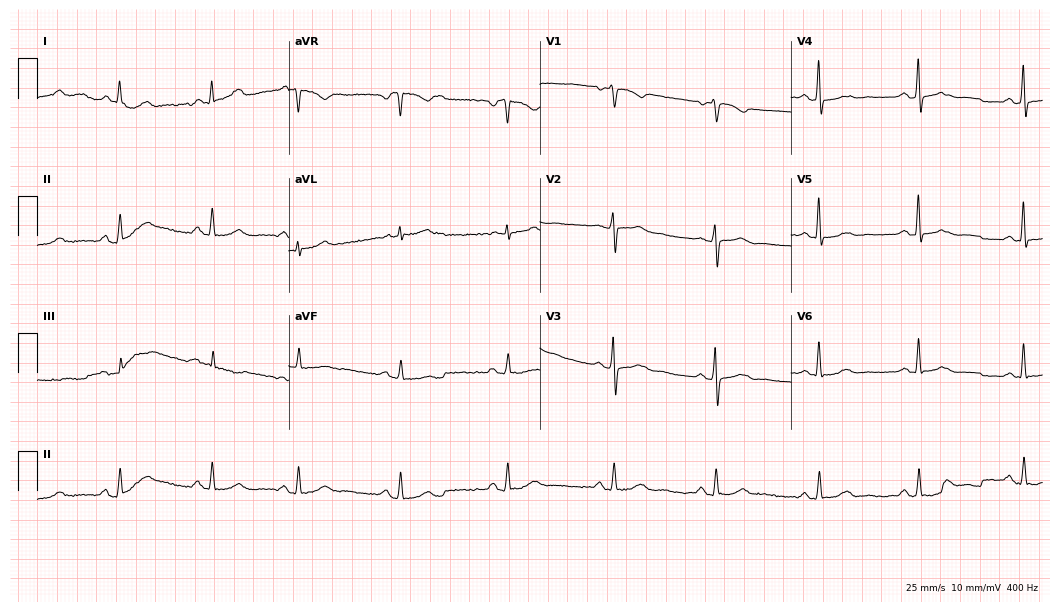
Standard 12-lead ECG recorded from a 57-year-old woman. None of these six findings is recorded: first-degree AV block, right bundle branch block (RBBB), left bundle branch block (LBBB), sinus bradycardia, atrial fibrillation (AF), sinus tachycardia. Findings outside these six are not listed.